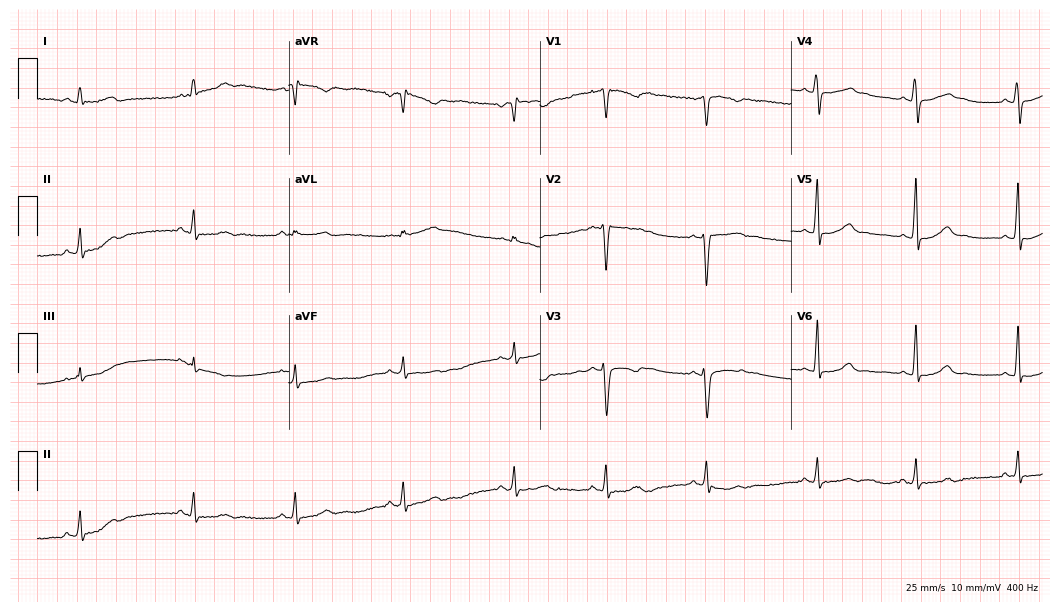
Resting 12-lead electrocardiogram. Patient: a 20-year-old female. None of these six findings is recorded: first-degree AV block, right bundle branch block, left bundle branch block, sinus bradycardia, atrial fibrillation, sinus tachycardia. Only these six findings were labelled.